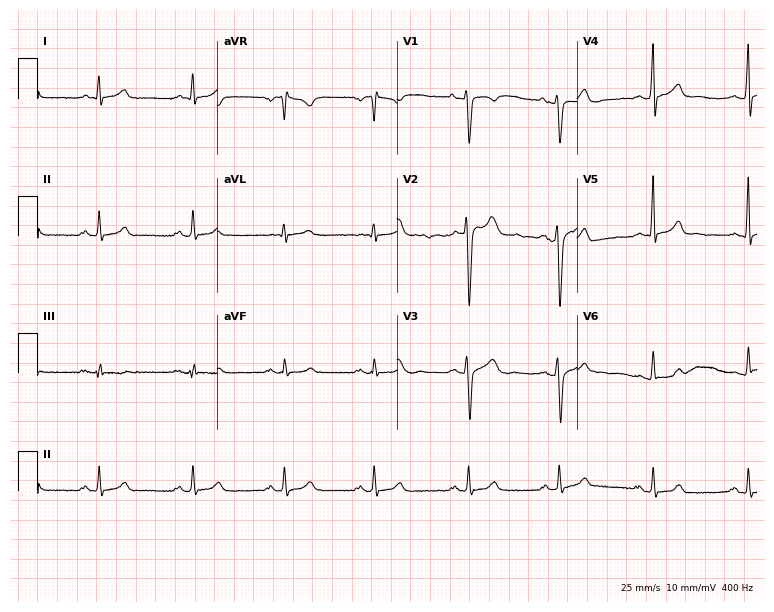
Resting 12-lead electrocardiogram. Patient: a male, 29 years old. Read as a normal ECG.